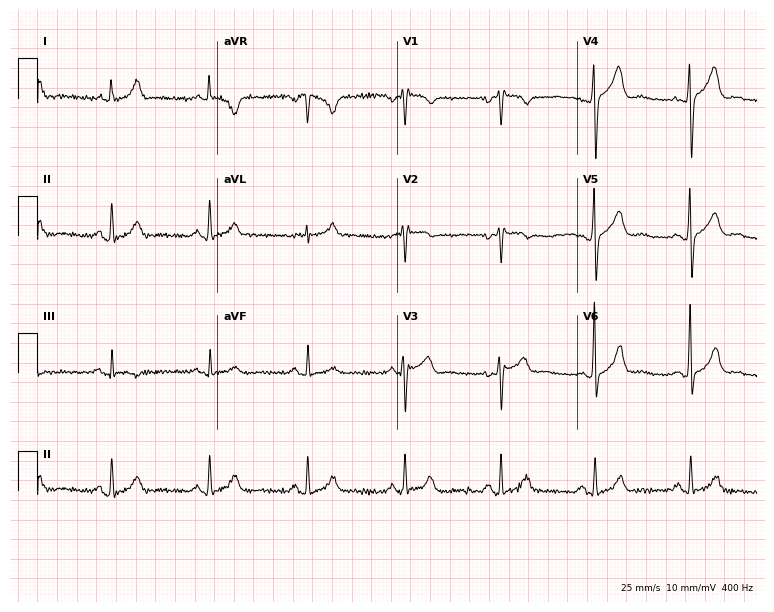
Resting 12-lead electrocardiogram (7.3-second recording at 400 Hz). Patient: a 48-year-old male. None of these six findings is recorded: first-degree AV block, right bundle branch block, left bundle branch block, sinus bradycardia, atrial fibrillation, sinus tachycardia. Other findings, if any, are not listed.